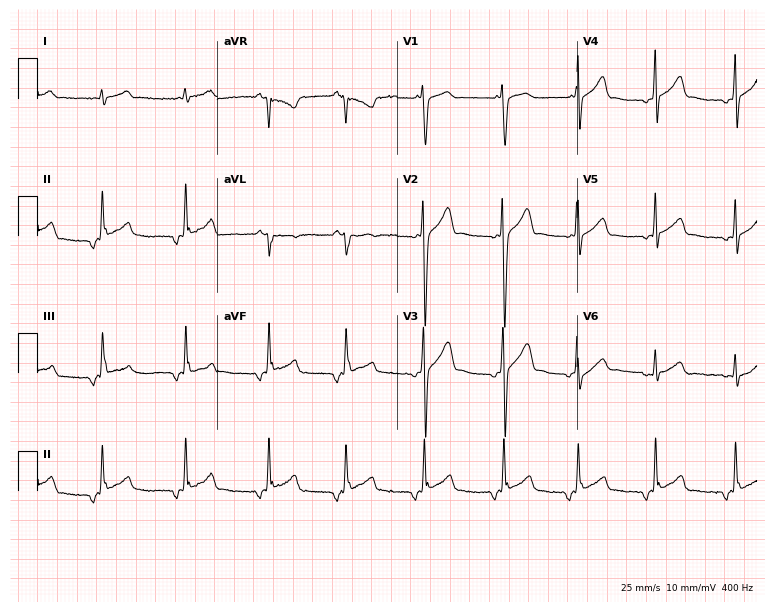
Resting 12-lead electrocardiogram. Patient: a 17-year-old male. Read as a normal ECG.